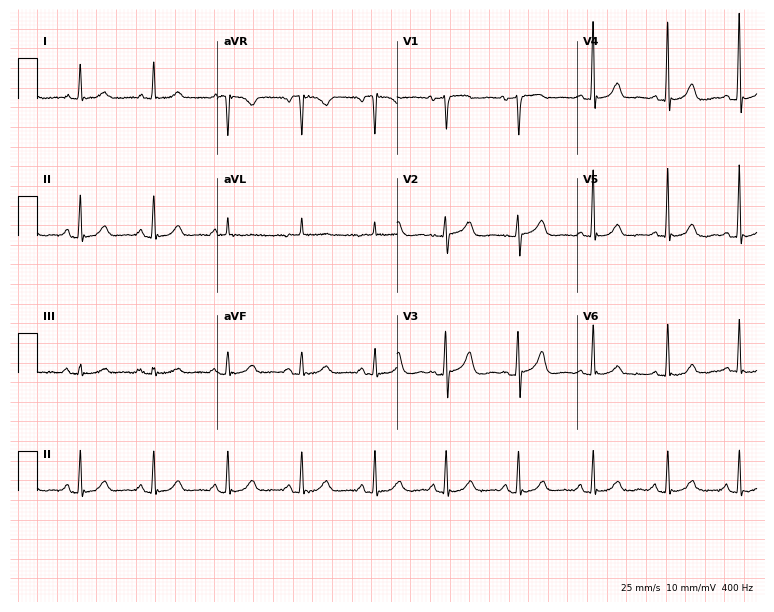
ECG — a female, 72 years old. Labelled as a normal ECG.